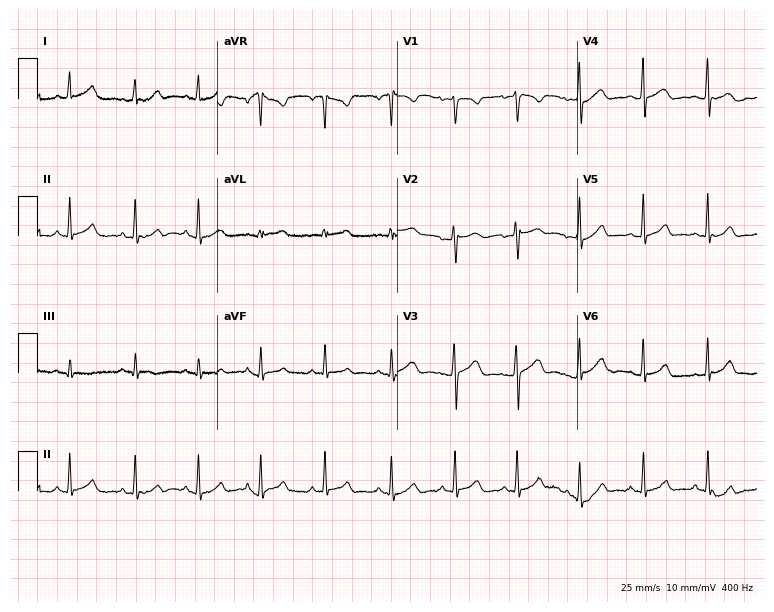
Resting 12-lead electrocardiogram. Patient: a 19-year-old female. Read as a normal ECG.